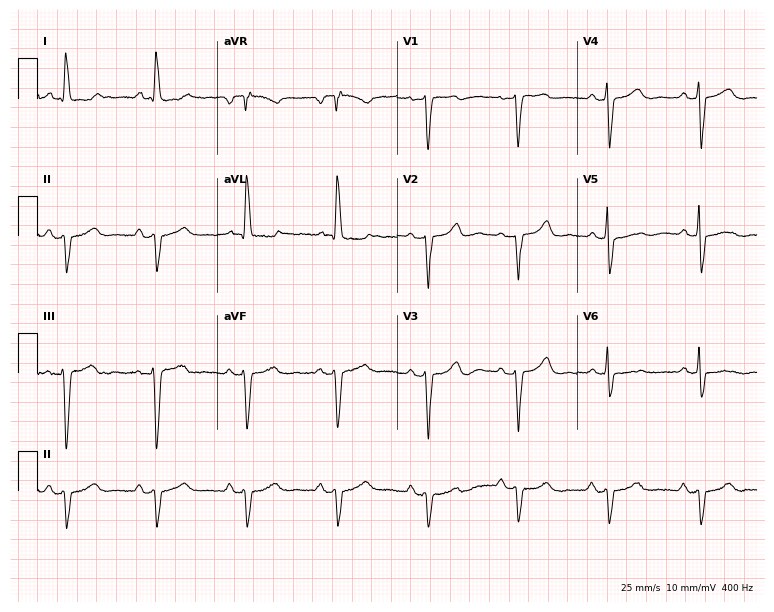
Resting 12-lead electrocardiogram. Patient: an 80-year-old woman. None of these six findings is recorded: first-degree AV block, right bundle branch block, left bundle branch block, sinus bradycardia, atrial fibrillation, sinus tachycardia. Only these six findings were labelled.